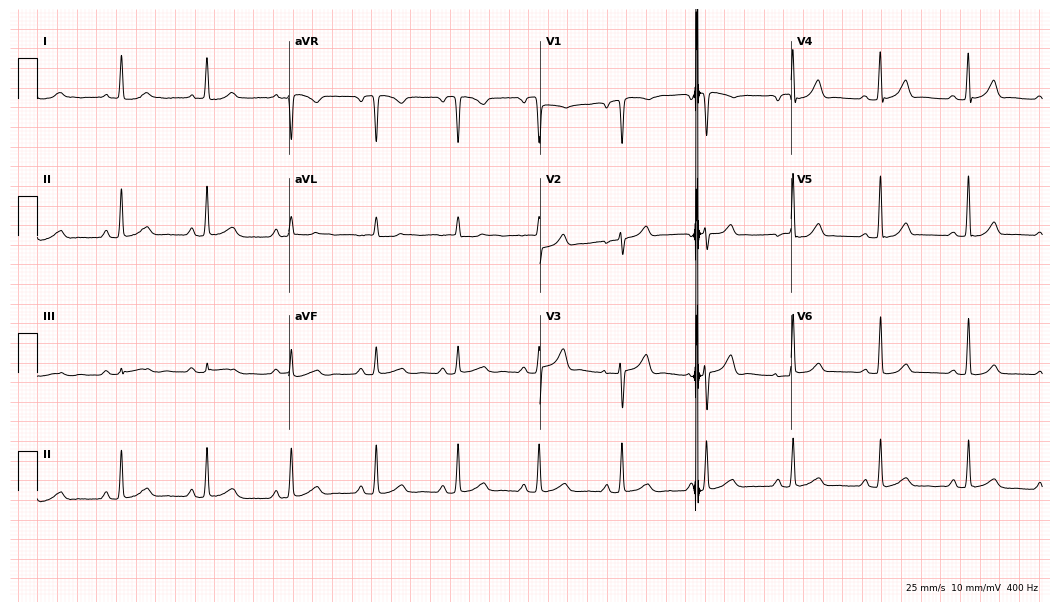
12-lead ECG from a 64-year-old woman. Recorded interpretation: within normal limits.